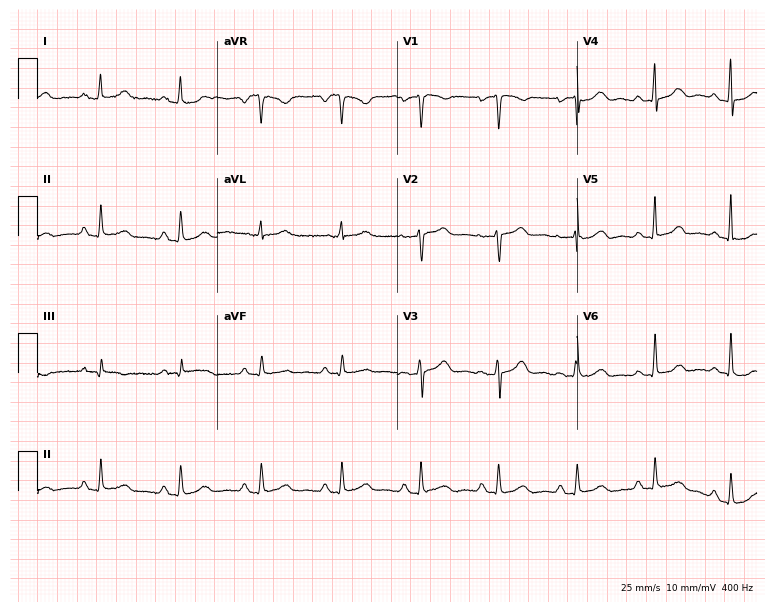
ECG (7.3-second recording at 400 Hz) — a 53-year-old female patient. Labelled as a normal ECG.